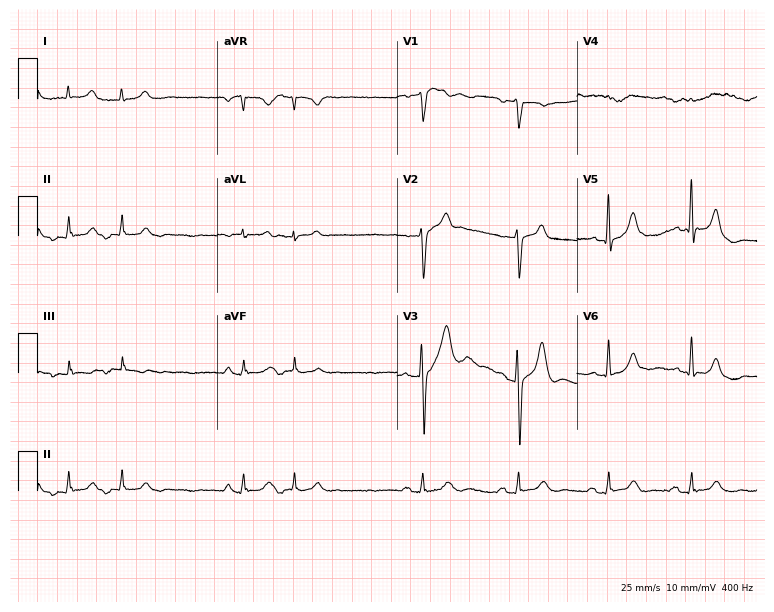
Resting 12-lead electrocardiogram (7.3-second recording at 400 Hz). Patient: a 78-year-old man. None of these six findings is recorded: first-degree AV block, right bundle branch block (RBBB), left bundle branch block (LBBB), sinus bradycardia, atrial fibrillation (AF), sinus tachycardia. Only these six findings were labelled.